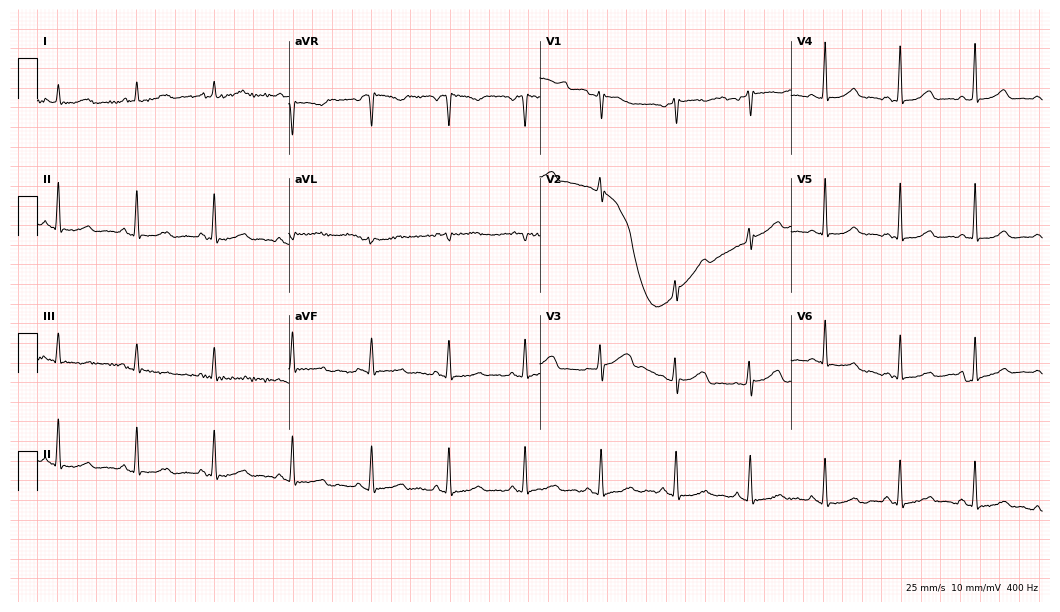
12-lead ECG (10.2-second recording at 400 Hz) from a female patient, 59 years old. Screened for six findings — first-degree AV block, right bundle branch block, left bundle branch block, sinus bradycardia, atrial fibrillation, sinus tachycardia — none is recorded. Only these six findings were labelled.